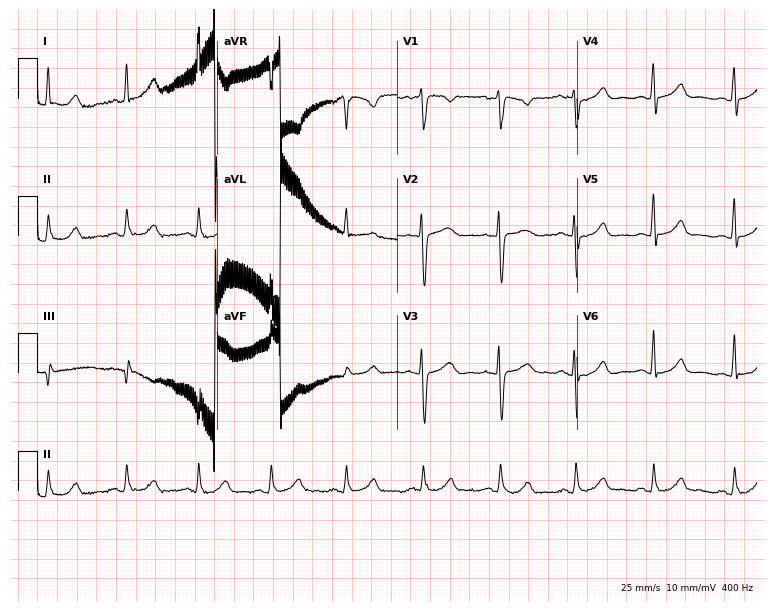
ECG (7.3-second recording at 400 Hz) — a female, 43 years old. Labelled as a normal ECG.